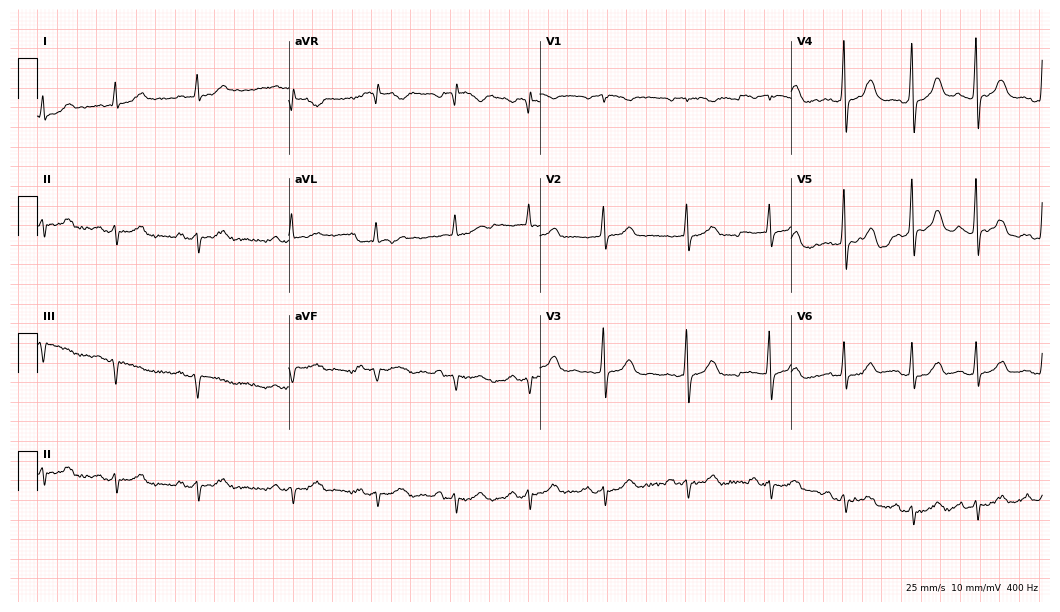
Electrocardiogram (10.2-second recording at 400 Hz), a 59-year-old woman. Overall reading on record: normal ECG.